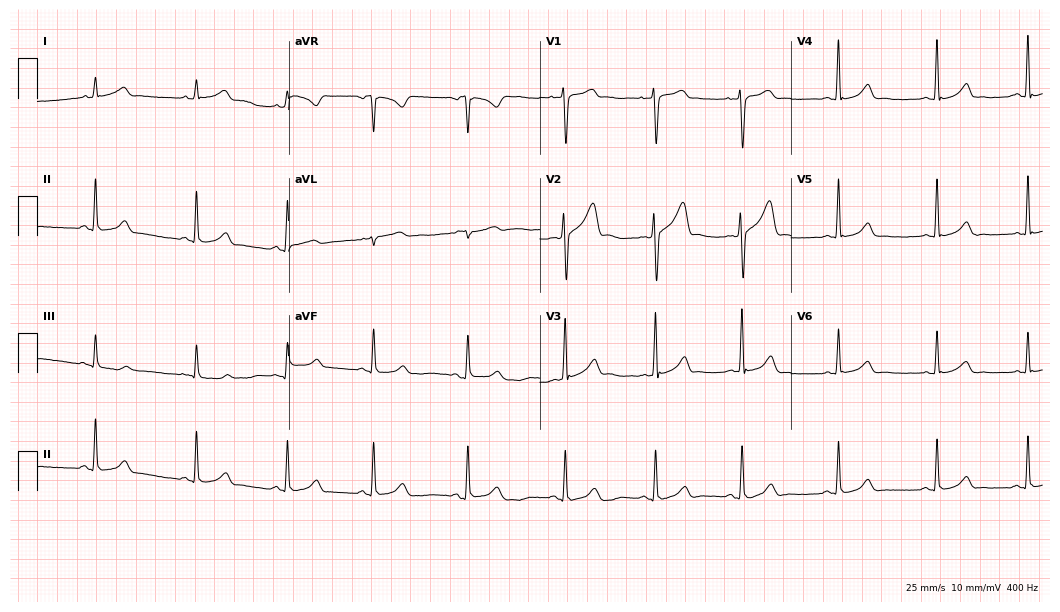
12-lead ECG from a 25-year-old male (10.2-second recording at 400 Hz). No first-degree AV block, right bundle branch block (RBBB), left bundle branch block (LBBB), sinus bradycardia, atrial fibrillation (AF) or sinus tachycardia recorded for this tracing.